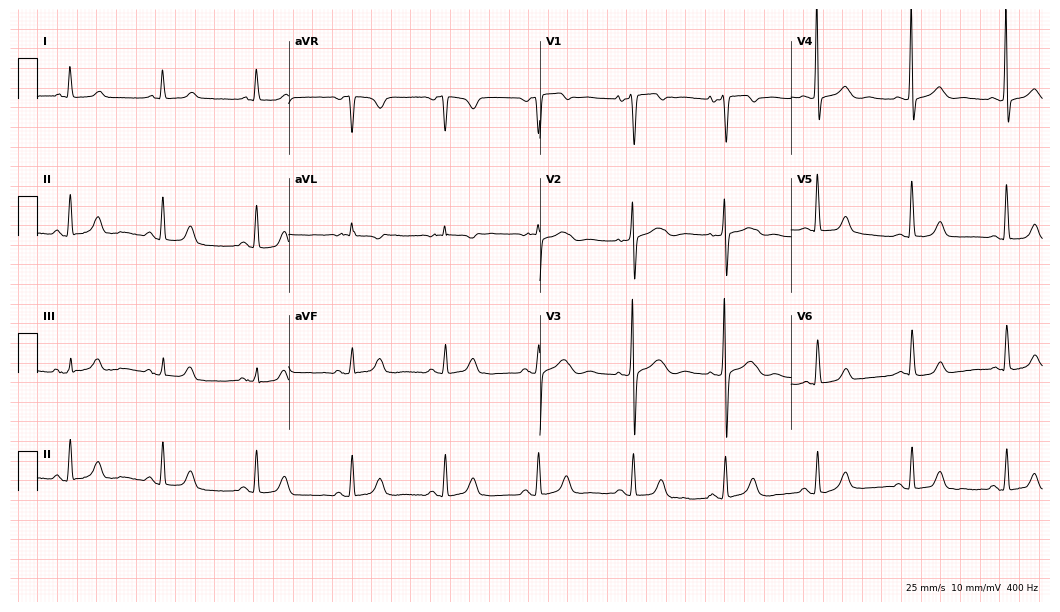
ECG (10.2-second recording at 400 Hz) — a woman, 64 years old. Labelled as a normal ECG.